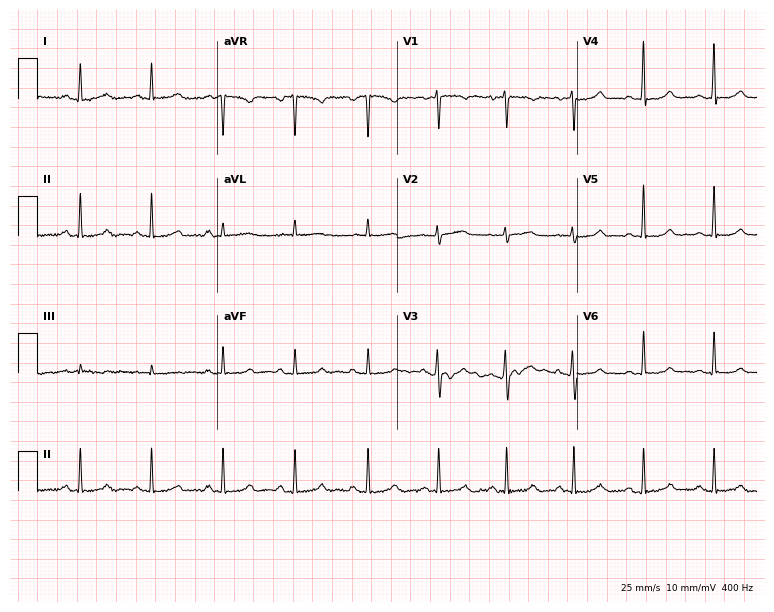
ECG (7.3-second recording at 400 Hz) — a 31-year-old woman. Labelled as a normal ECG.